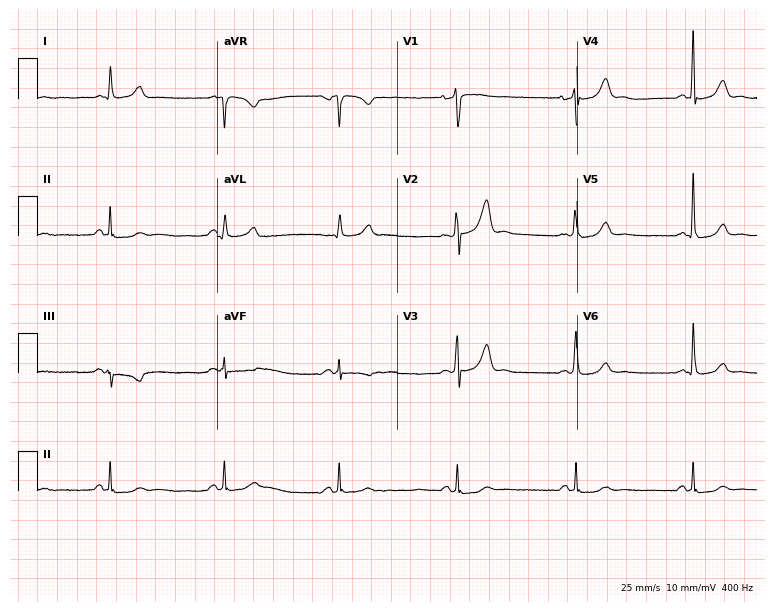
Electrocardiogram, a male, 52 years old. Of the six screened findings (first-degree AV block, right bundle branch block (RBBB), left bundle branch block (LBBB), sinus bradycardia, atrial fibrillation (AF), sinus tachycardia), none is recorded. Only these six findings were labelled.